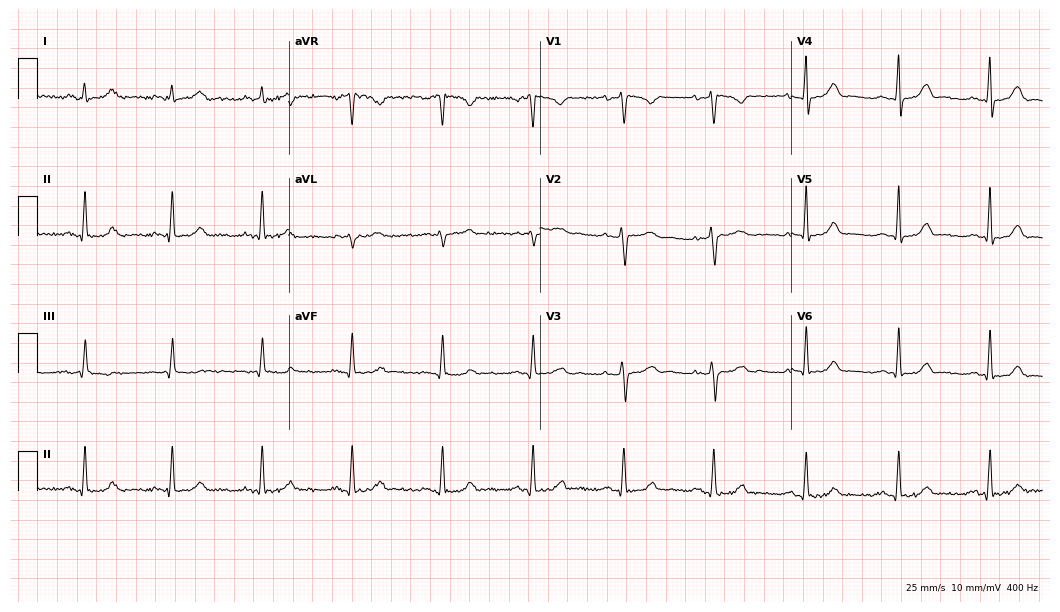
ECG (10.2-second recording at 400 Hz) — a female, 44 years old. Labelled as a normal ECG.